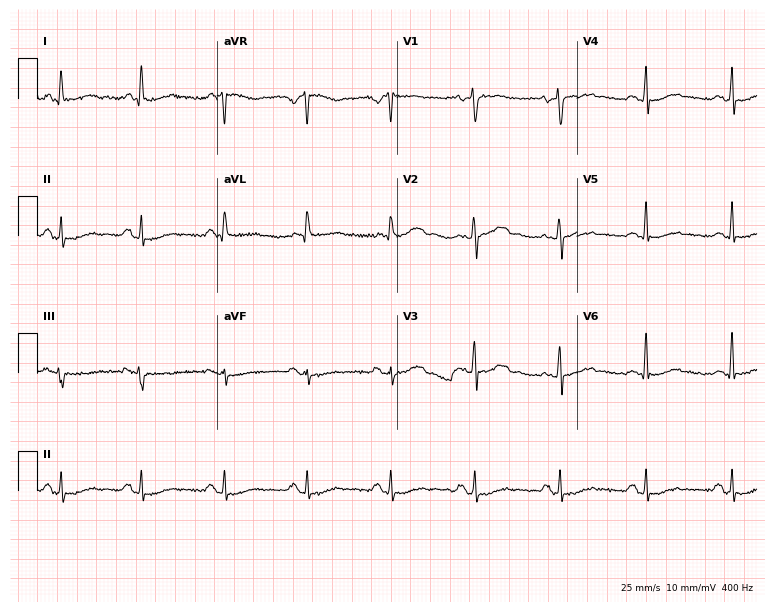
12-lead ECG (7.3-second recording at 400 Hz) from a 41-year-old female patient. Screened for six findings — first-degree AV block, right bundle branch block (RBBB), left bundle branch block (LBBB), sinus bradycardia, atrial fibrillation (AF), sinus tachycardia — none is recorded. Findings outside these six are not listed.